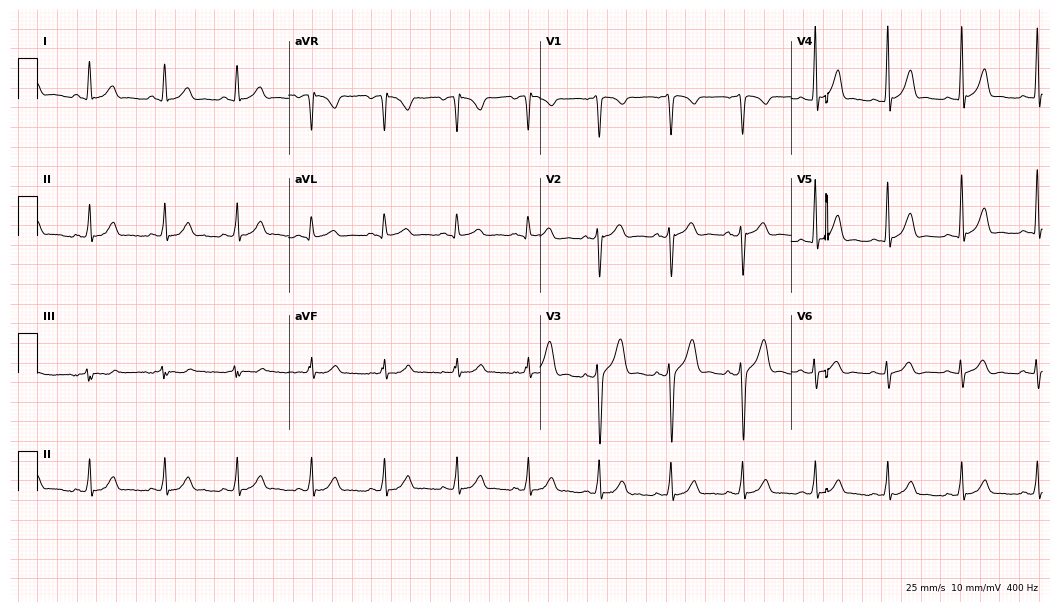
ECG (10.2-second recording at 400 Hz) — a 20-year-old male patient. Labelled as a normal ECG.